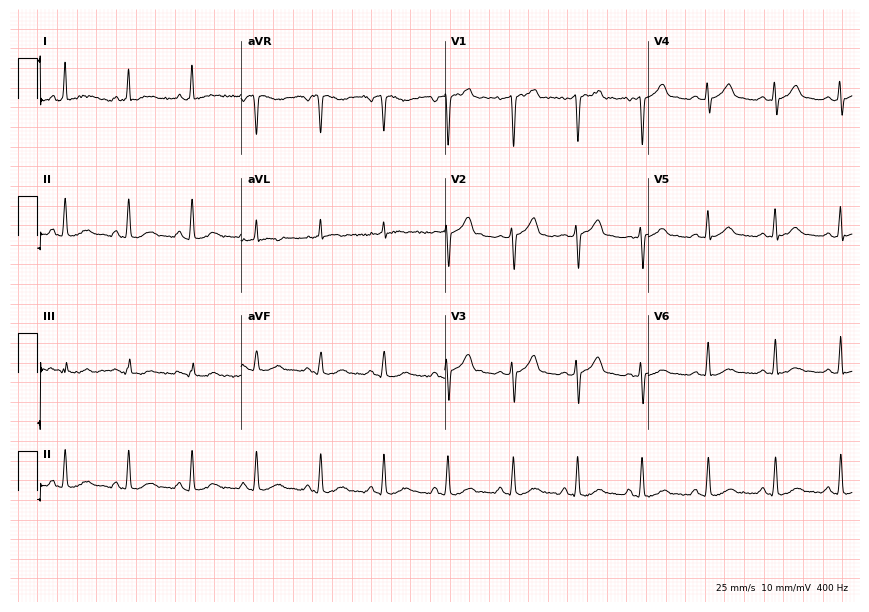
ECG (8.3-second recording at 400 Hz) — a man, 32 years old. Labelled as a normal ECG.